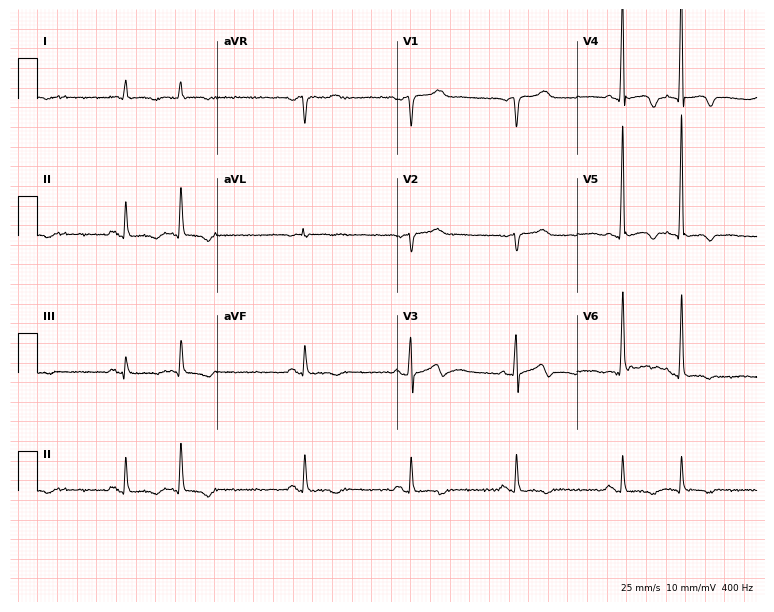
12-lead ECG (7.3-second recording at 400 Hz) from a man, 76 years old. Screened for six findings — first-degree AV block, right bundle branch block, left bundle branch block, sinus bradycardia, atrial fibrillation, sinus tachycardia — none is recorded.